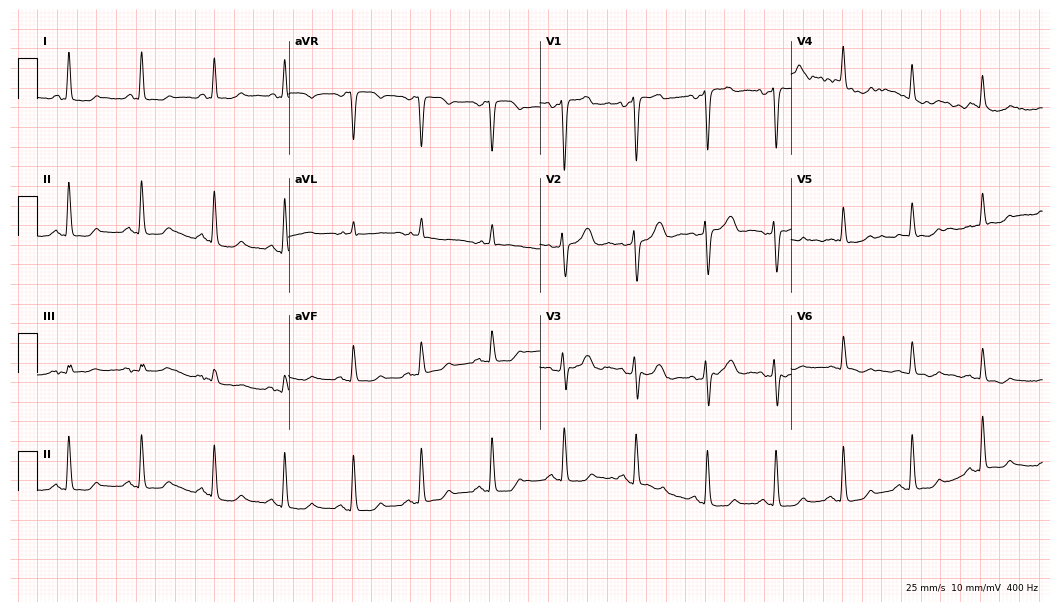
Standard 12-lead ECG recorded from a 44-year-old woman. None of these six findings is recorded: first-degree AV block, right bundle branch block, left bundle branch block, sinus bradycardia, atrial fibrillation, sinus tachycardia. Other findings, if any, are not listed.